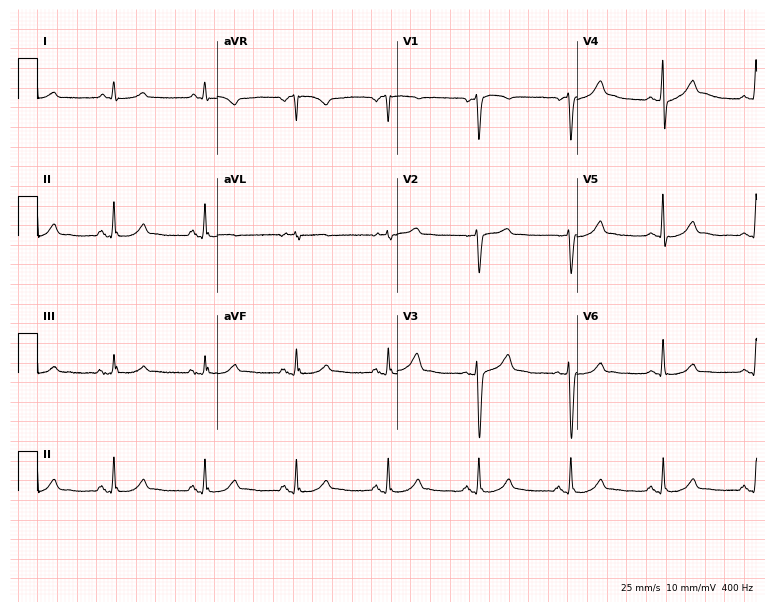
12-lead ECG from a 65-year-old male patient. Labelled as a normal ECG.